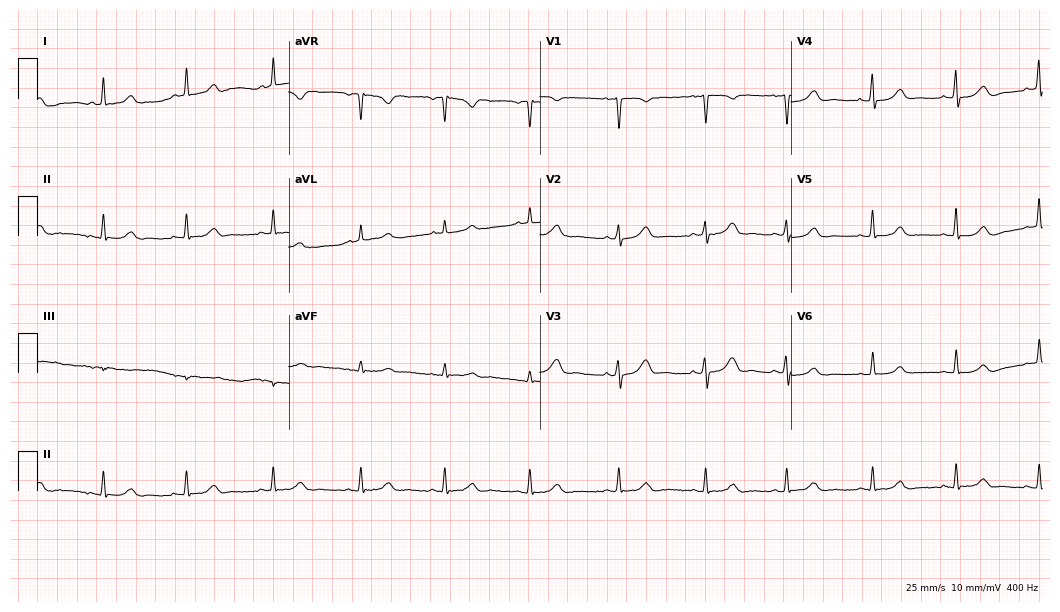
Standard 12-lead ECG recorded from a 50-year-old female (10.2-second recording at 400 Hz). Read as a normal ECG.